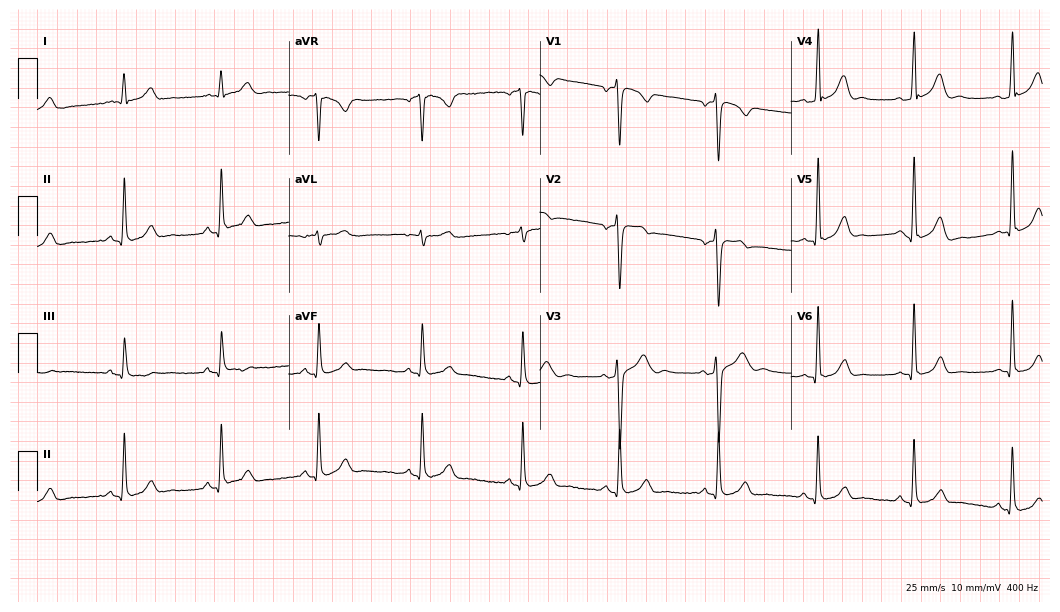
ECG — a male patient, 38 years old. Screened for six findings — first-degree AV block, right bundle branch block, left bundle branch block, sinus bradycardia, atrial fibrillation, sinus tachycardia — none is recorded.